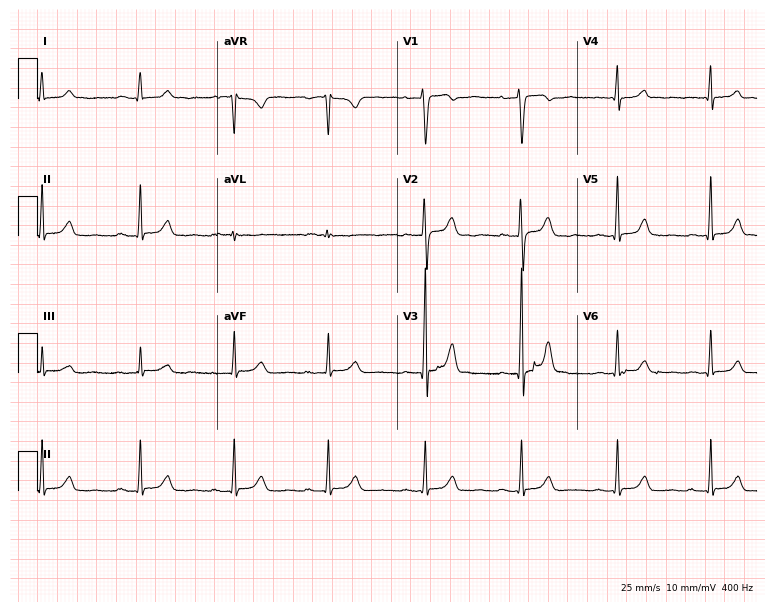
Electrocardiogram (7.3-second recording at 400 Hz), a 39-year-old female. Overall reading on record: normal ECG.